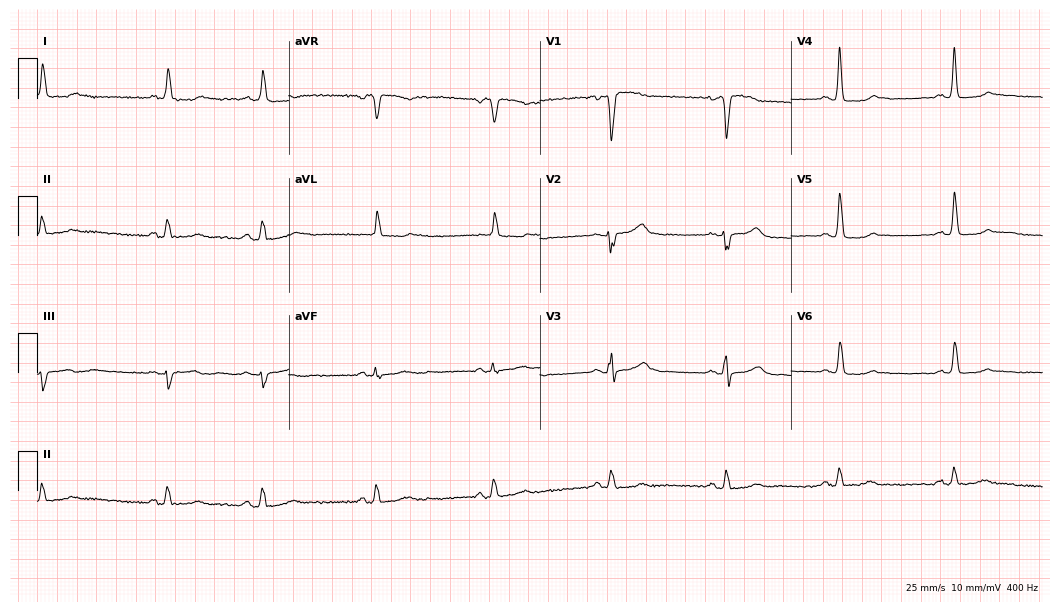
Electrocardiogram (10.2-second recording at 400 Hz), a female patient, 75 years old. Of the six screened findings (first-degree AV block, right bundle branch block, left bundle branch block, sinus bradycardia, atrial fibrillation, sinus tachycardia), none is recorded. Findings outside these six are not listed.